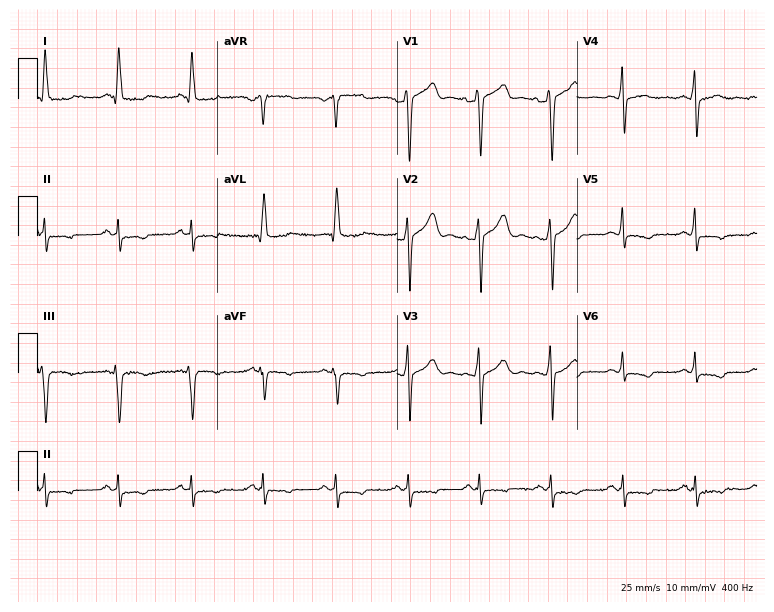
Resting 12-lead electrocardiogram (7.3-second recording at 400 Hz). Patient: a male, 56 years old. None of these six findings is recorded: first-degree AV block, right bundle branch block (RBBB), left bundle branch block (LBBB), sinus bradycardia, atrial fibrillation (AF), sinus tachycardia.